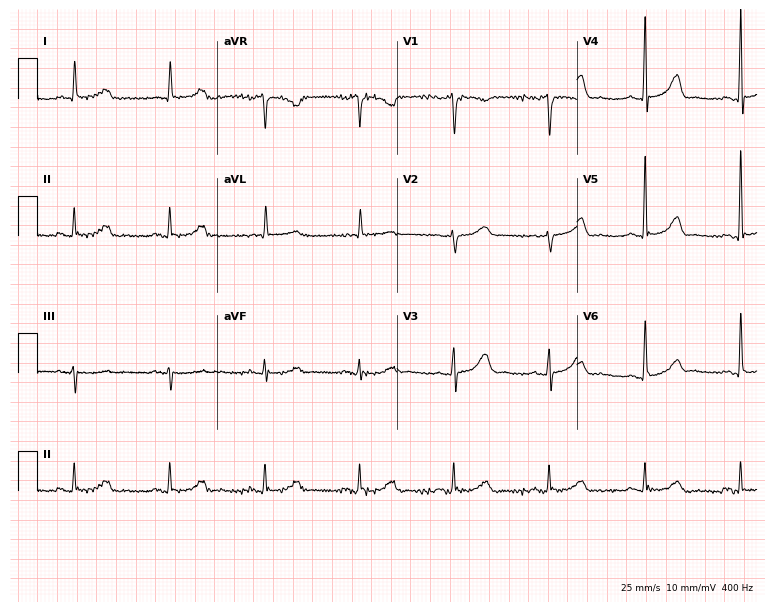
12-lead ECG from a female, 76 years old (7.3-second recording at 400 Hz). Recorded interpretation: within normal limits.